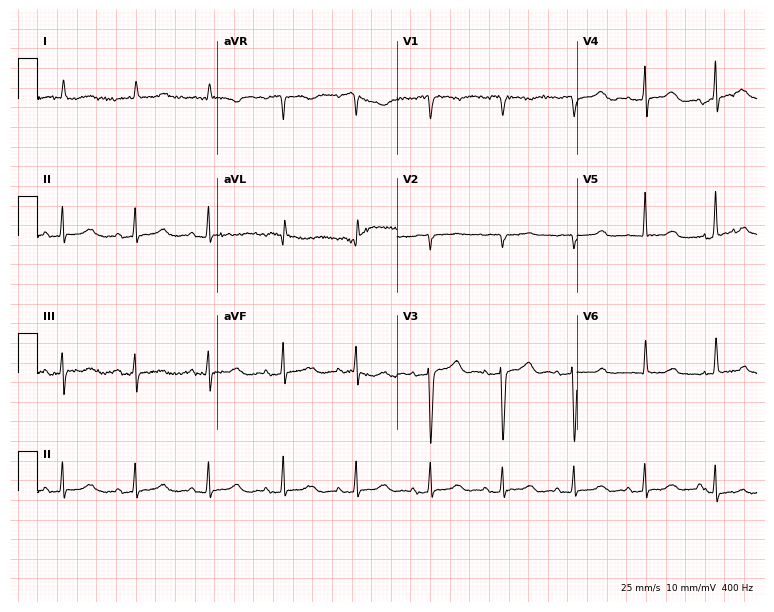
ECG (7.3-second recording at 400 Hz) — a 76-year-old female patient. Labelled as a normal ECG.